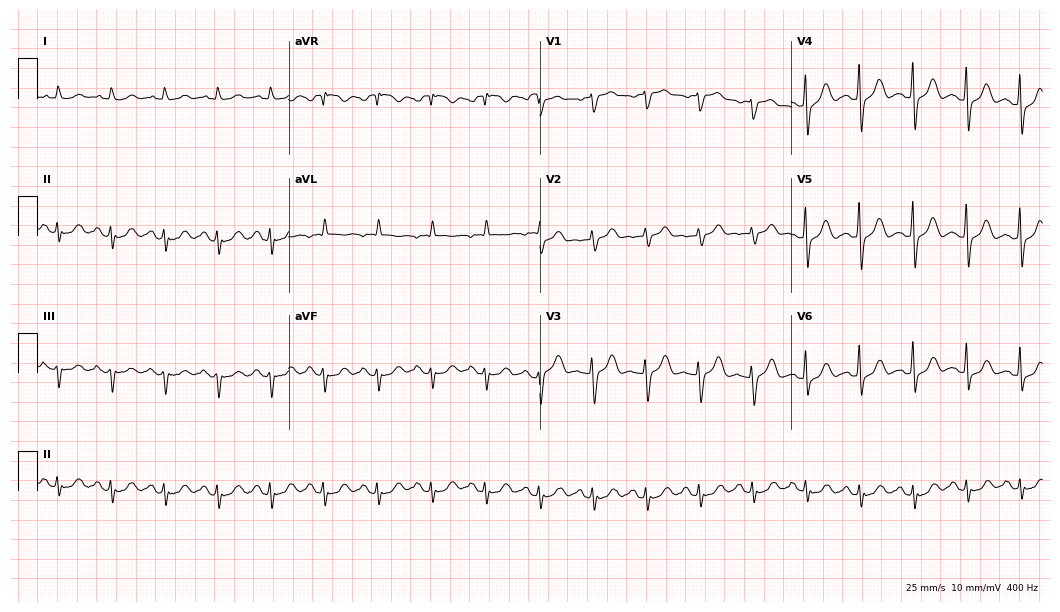
Resting 12-lead electrocardiogram (10.2-second recording at 400 Hz). Patient: a female, 83 years old. The tracing shows sinus tachycardia (a sinus rate of 100 beats per minute or more).